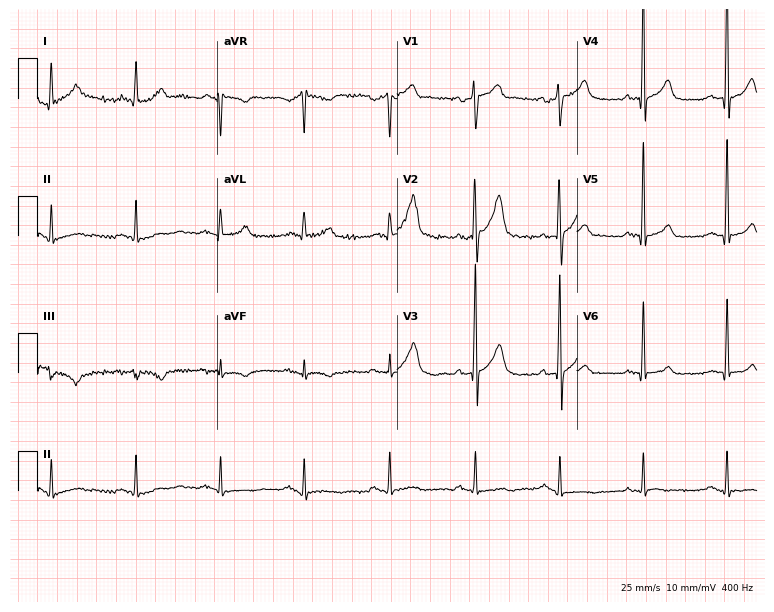
ECG (7.3-second recording at 400 Hz) — a 51-year-old male patient. Screened for six findings — first-degree AV block, right bundle branch block, left bundle branch block, sinus bradycardia, atrial fibrillation, sinus tachycardia — none is recorded.